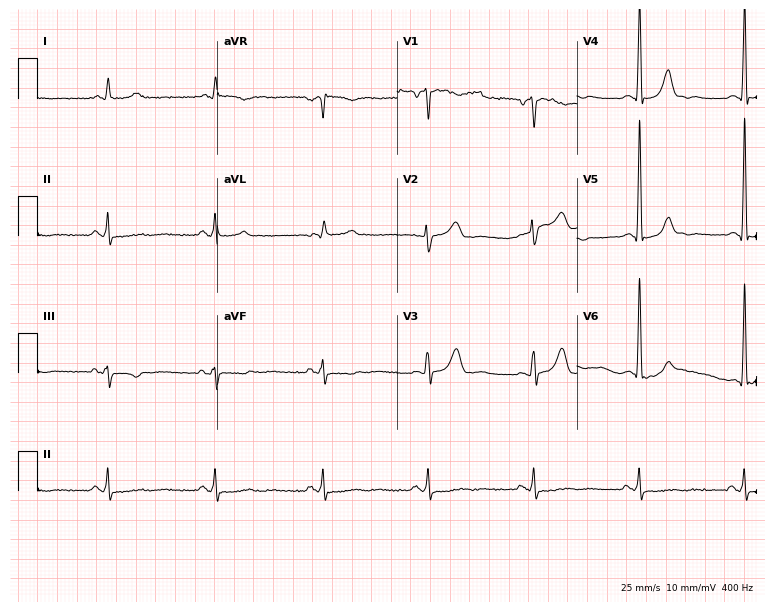
Electrocardiogram (7.3-second recording at 400 Hz), a male patient, 77 years old. Of the six screened findings (first-degree AV block, right bundle branch block, left bundle branch block, sinus bradycardia, atrial fibrillation, sinus tachycardia), none is recorded. Findings outside these six are not listed.